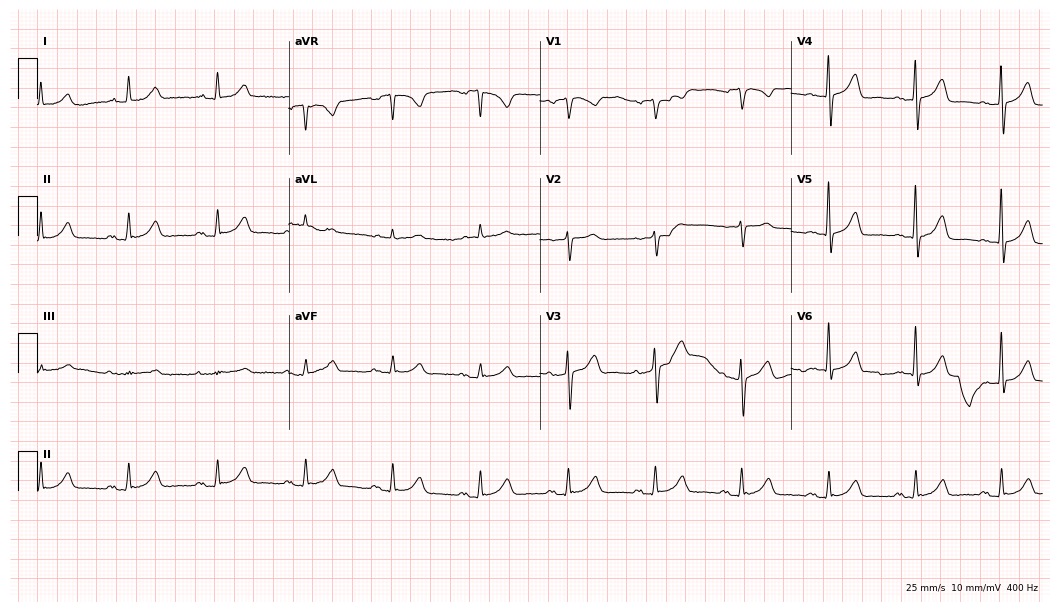
Resting 12-lead electrocardiogram (10.2-second recording at 400 Hz). Patient: a 57-year-old man. Read as a normal ECG.